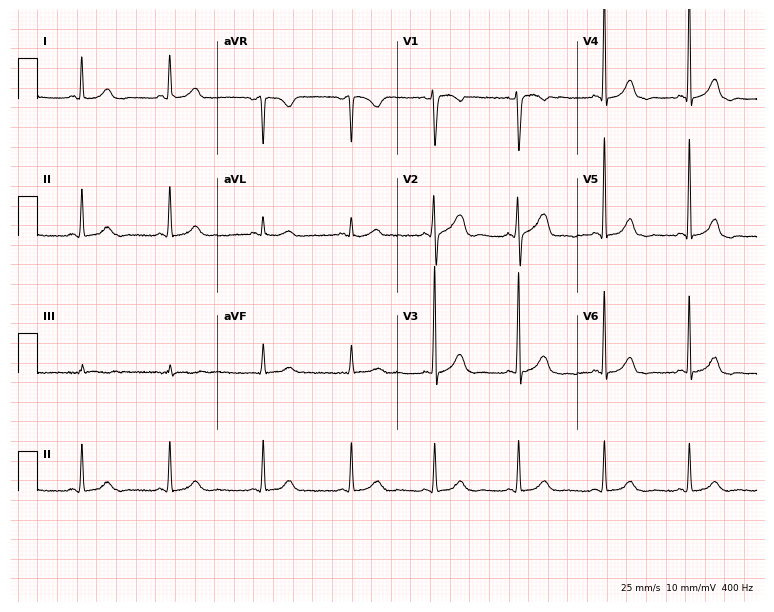
Resting 12-lead electrocardiogram (7.3-second recording at 400 Hz). Patient: a 29-year-old woman. Read as a normal ECG.